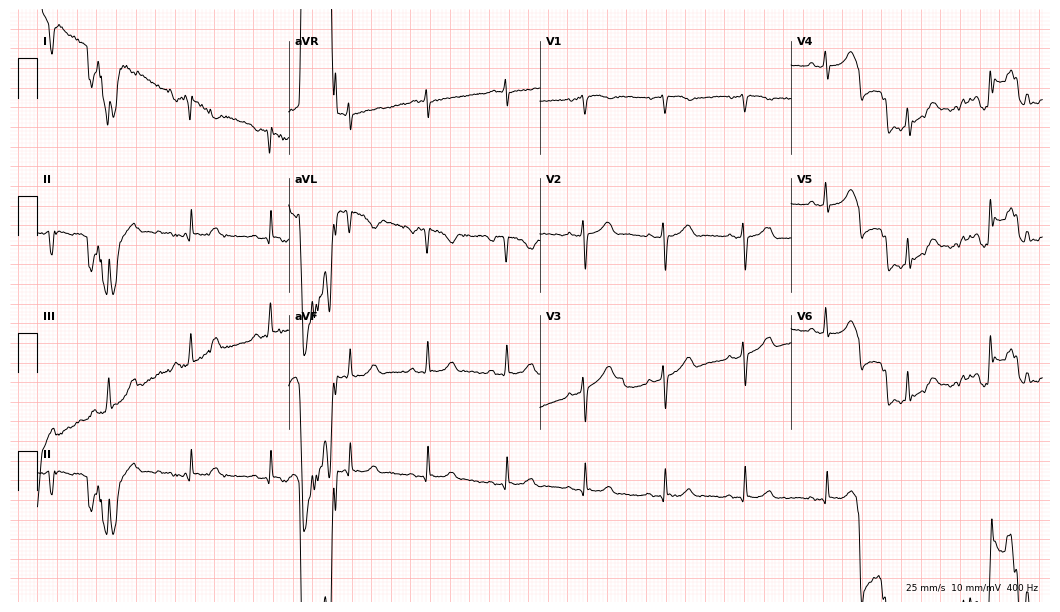
Resting 12-lead electrocardiogram. Patient: a 61-year-old female. None of these six findings is recorded: first-degree AV block, right bundle branch block, left bundle branch block, sinus bradycardia, atrial fibrillation, sinus tachycardia. Other findings, if any, are not listed.